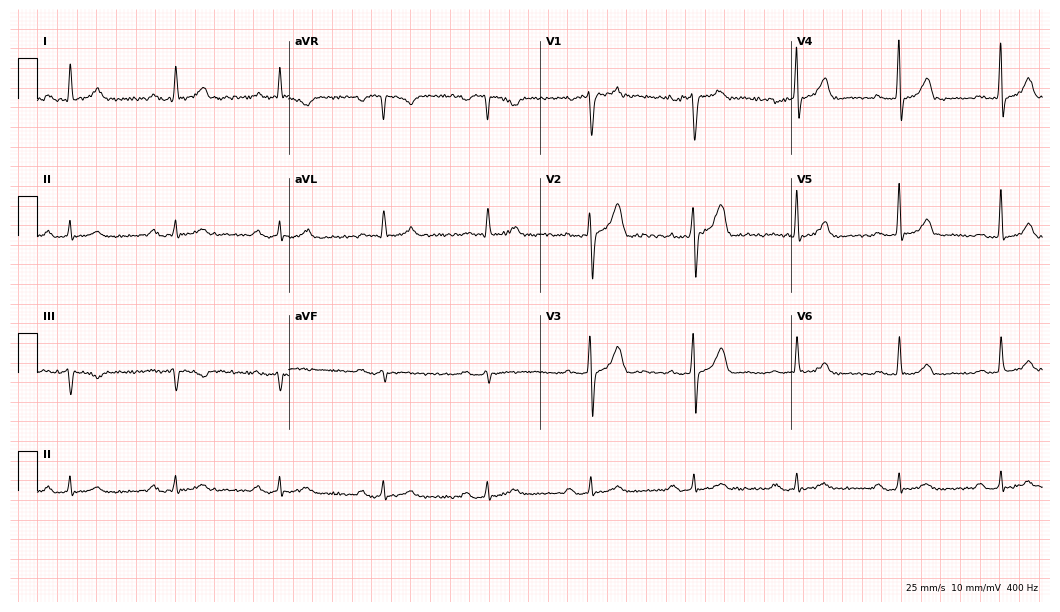
Resting 12-lead electrocardiogram (10.2-second recording at 400 Hz). Patient: a 72-year-old man. The tracing shows first-degree AV block.